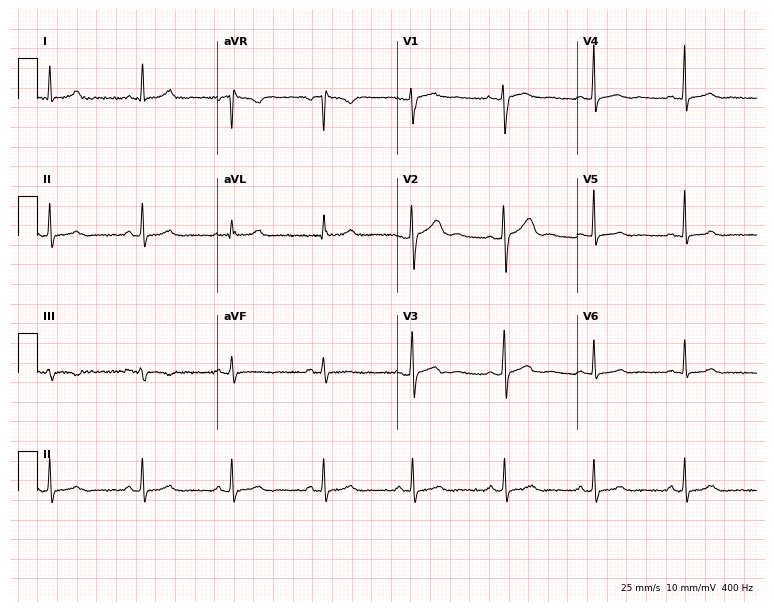
12-lead ECG from a 24-year-old woman. Recorded interpretation: within normal limits.